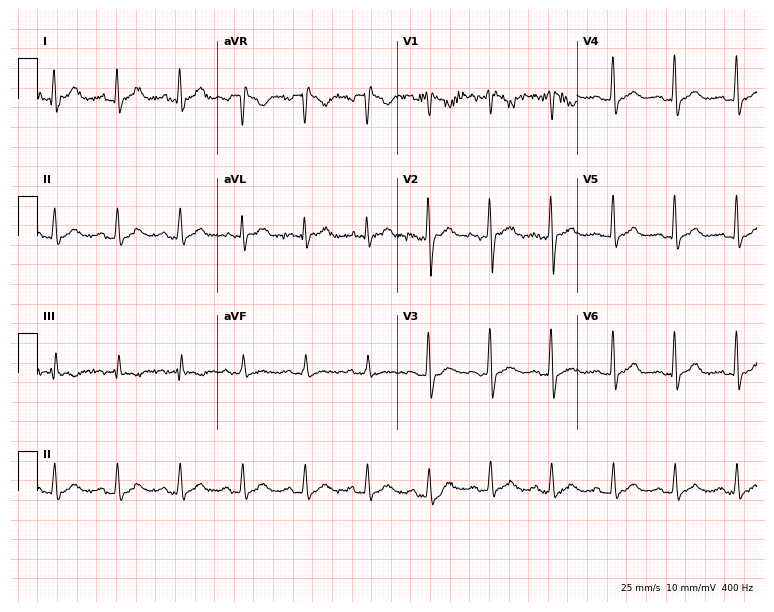
Resting 12-lead electrocardiogram (7.3-second recording at 400 Hz). Patient: a man, 24 years old. None of these six findings is recorded: first-degree AV block, right bundle branch block, left bundle branch block, sinus bradycardia, atrial fibrillation, sinus tachycardia. Findings outside these six are not listed.